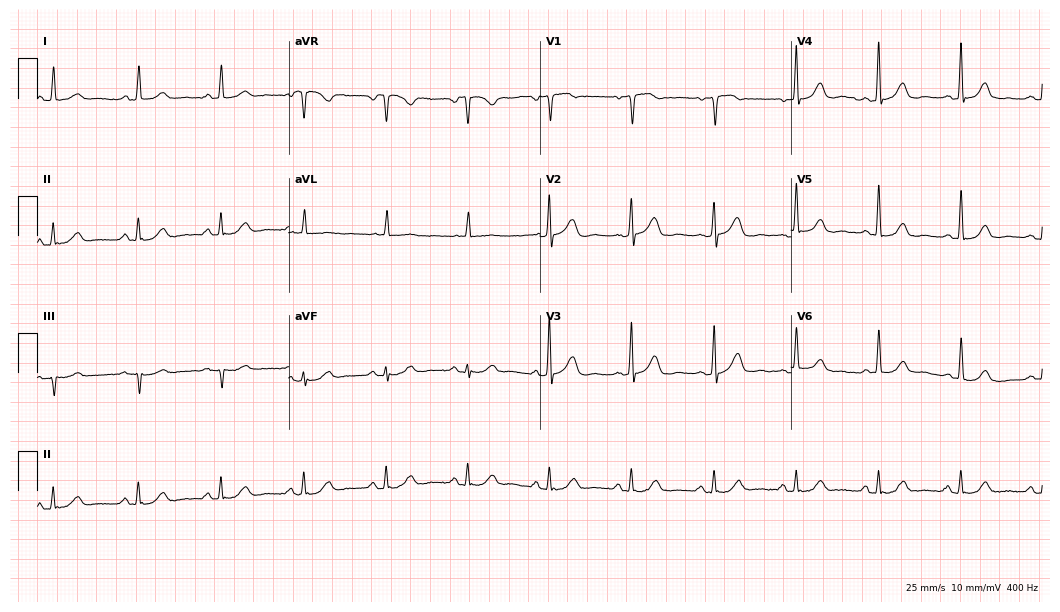
12-lead ECG (10.2-second recording at 400 Hz) from a 68-year-old woman. Screened for six findings — first-degree AV block, right bundle branch block, left bundle branch block, sinus bradycardia, atrial fibrillation, sinus tachycardia — none is recorded.